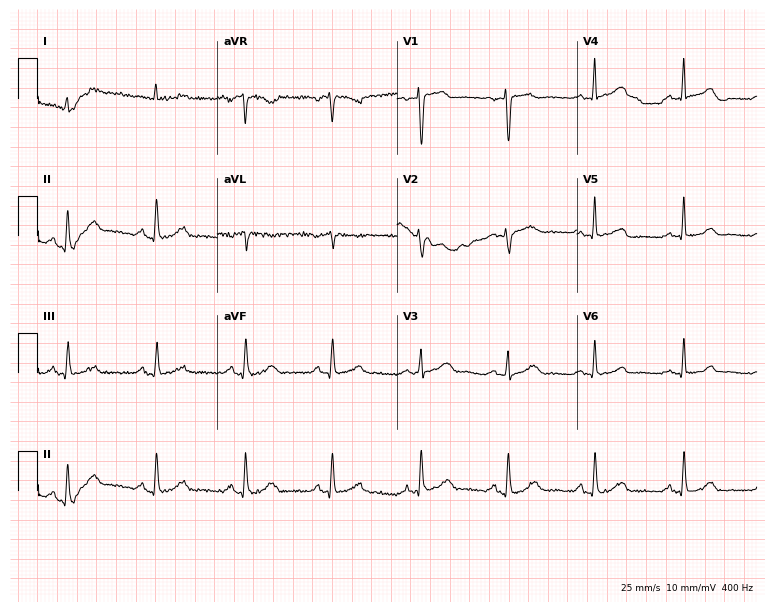
Electrocardiogram, a 50-year-old woman. Overall reading on record: normal ECG.